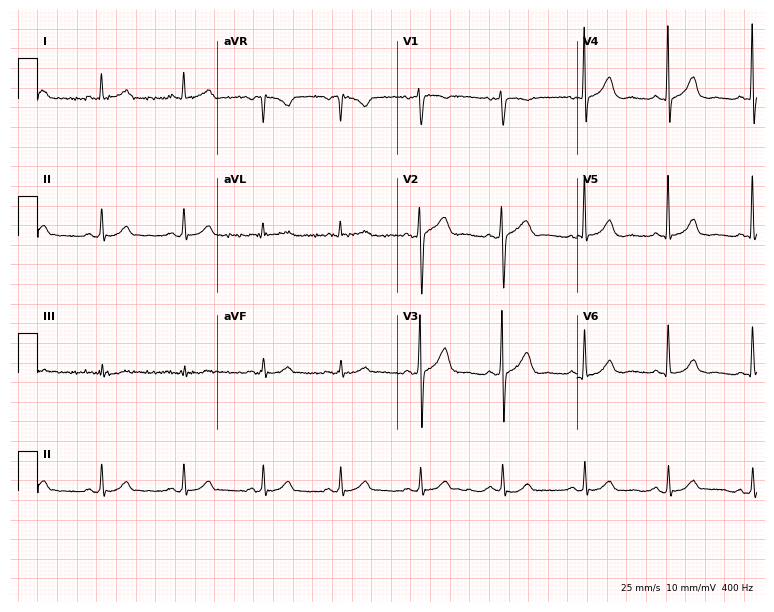
Standard 12-lead ECG recorded from a 66-year-old man (7.3-second recording at 400 Hz). Read as a normal ECG.